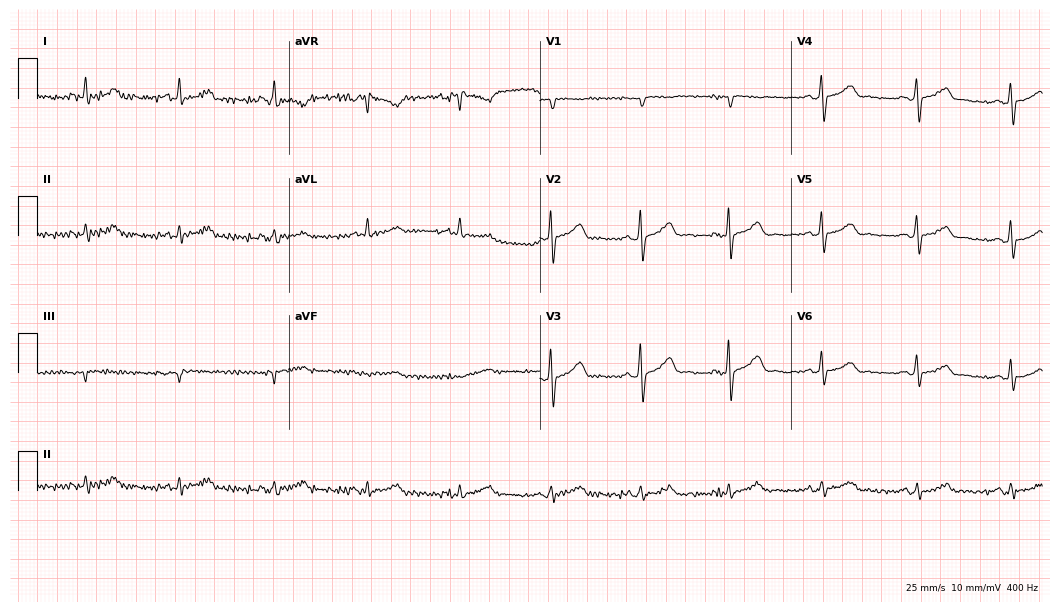
Resting 12-lead electrocardiogram. Patient: a 47-year-old woman. None of these six findings is recorded: first-degree AV block, right bundle branch block (RBBB), left bundle branch block (LBBB), sinus bradycardia, atrial fibrillation (AF), sinus tachycardia.